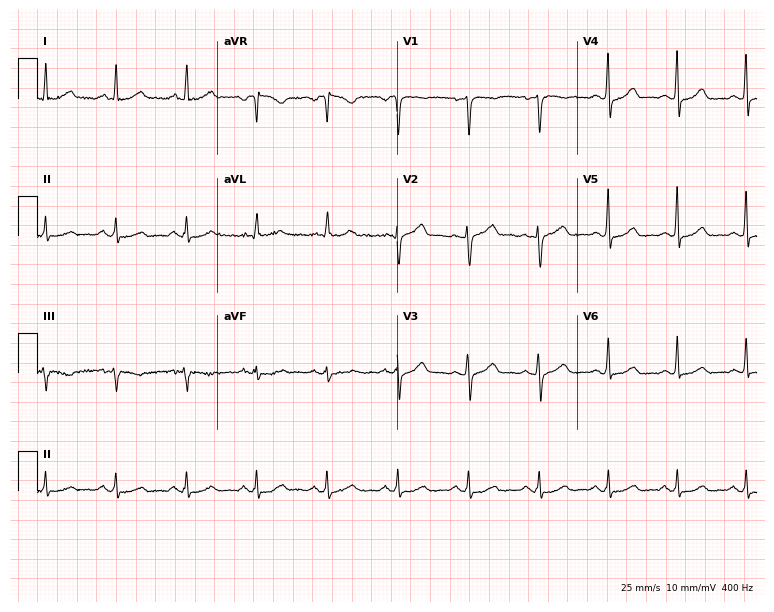
Electrocardiogram, a 64-year-old female. Overall reading on record: normal ECG.